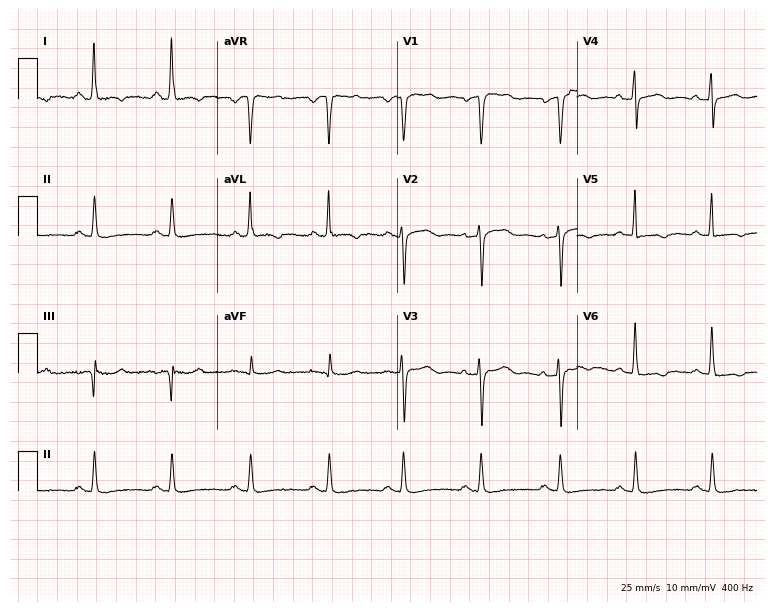
Resting 12-lead electrocardiogram. Patient: a 57-year-old female. None of these six findings is recorded: first-degree AV block, right bundle branch block, left bundle branch block, sinus bradycardia, atrial fibrillation, sinus tachycardia.